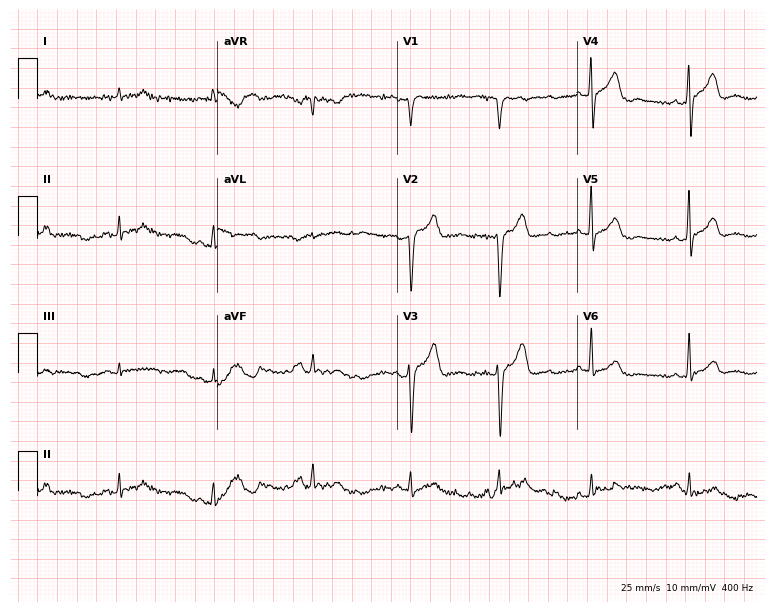
Resting 12-lead electrocardiogram (7.3-second recording at 400 Hz). Patient: a 52-year-old male. None of these six findings is recorded: first-degree AV block, right bundle branch block, left bundle branch block, sinus bradycardia, atrial fibrillation, sinus tachycardia.